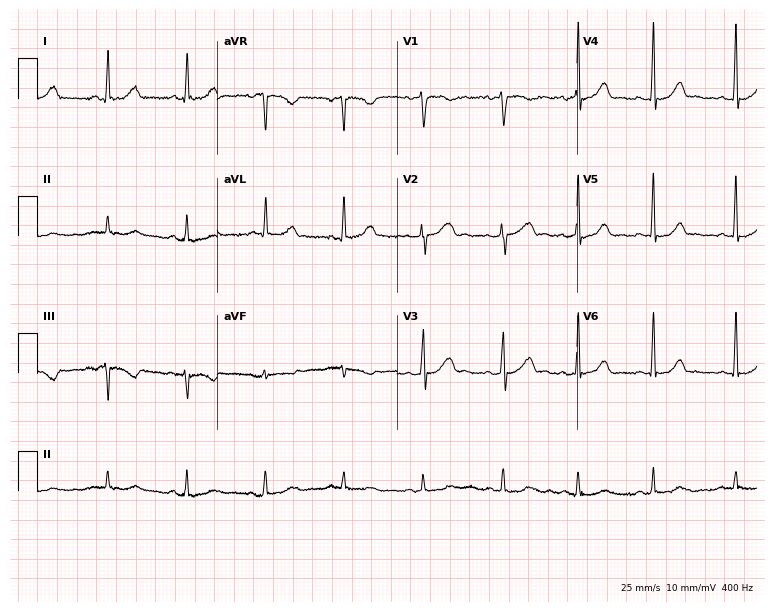
ECG — a 37-year-old woman. Screened for six findings — first-degree AV block, right bundle branch block (RBBB), left bundle branch block (LBBB), sinus bradycardia, atrial fibrillation (AF), sinus tachycardia — none is recorded. Findings outside these six are not listed.